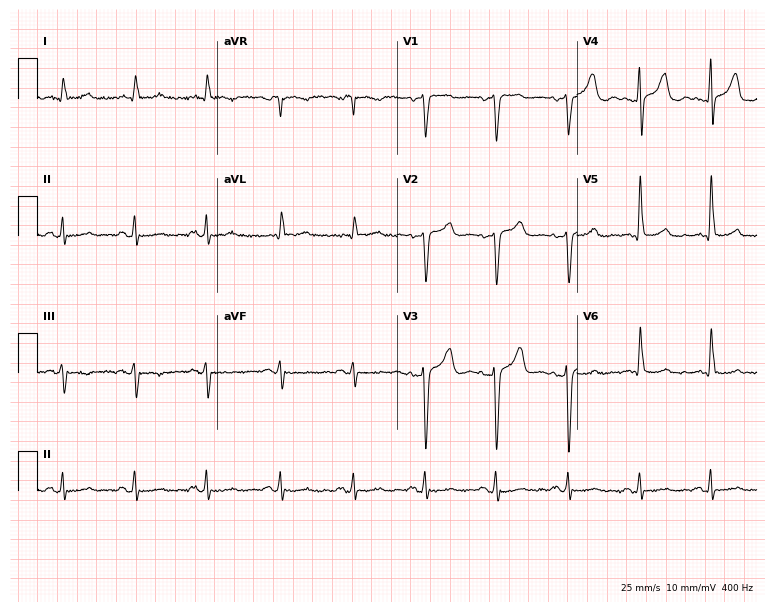
Resting 12-lead electrocardiogram (7.3-second recording at 400 Hz). Patient: a male, 65 years old. None of these six findings is recorded: first-degree AV block, right bundle branch block, left bundle branch block, sinus bradycardia, atrial fibrillation, sinus tachycardia.